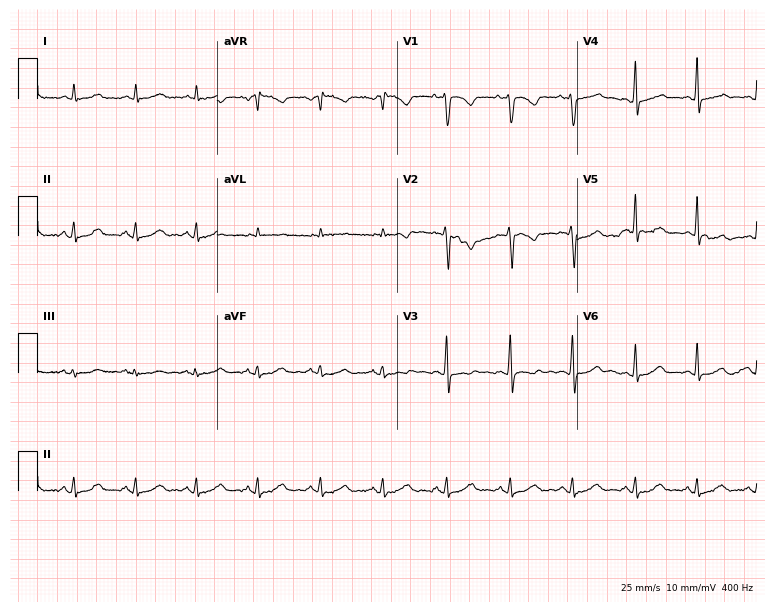
Electrocardiogram (7.3-second recording at 400 Hz), a 44-year-old female patient. Of the six screened findings (first-degree AV block, right bundle branch block (RBBB), left bundle branch block (LBBB), sinus bradycardia, atrial fibrillation (AF), sinus tachycardia), none is recorded.